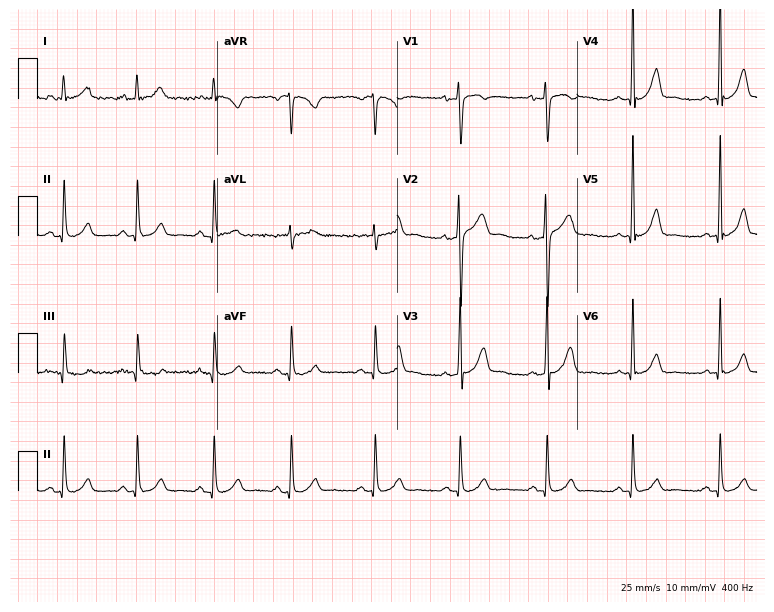
12-lead ECG from a 55-year-old male patient. Labelled as a normal ECG.